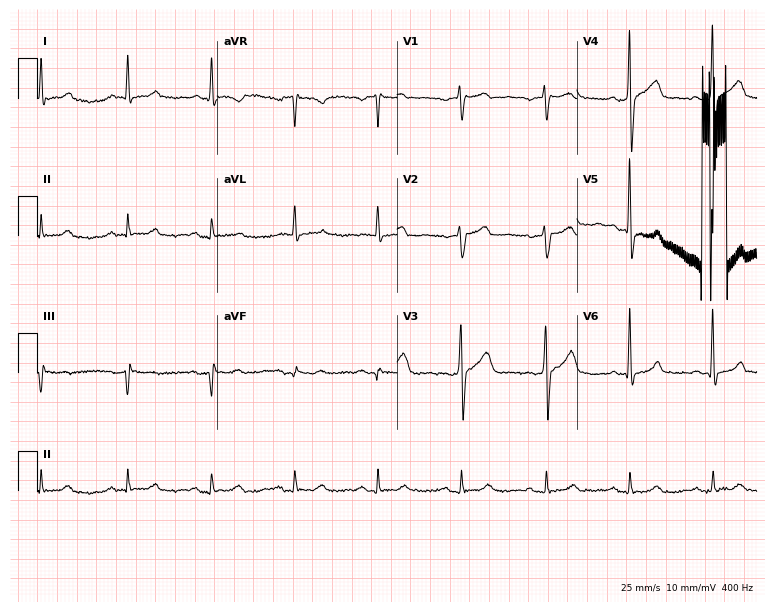
Standard 12-lead ECG recorded from a male patient, 52 years old (7.3-second recording at 400 Hz). Read as a normal ECG.